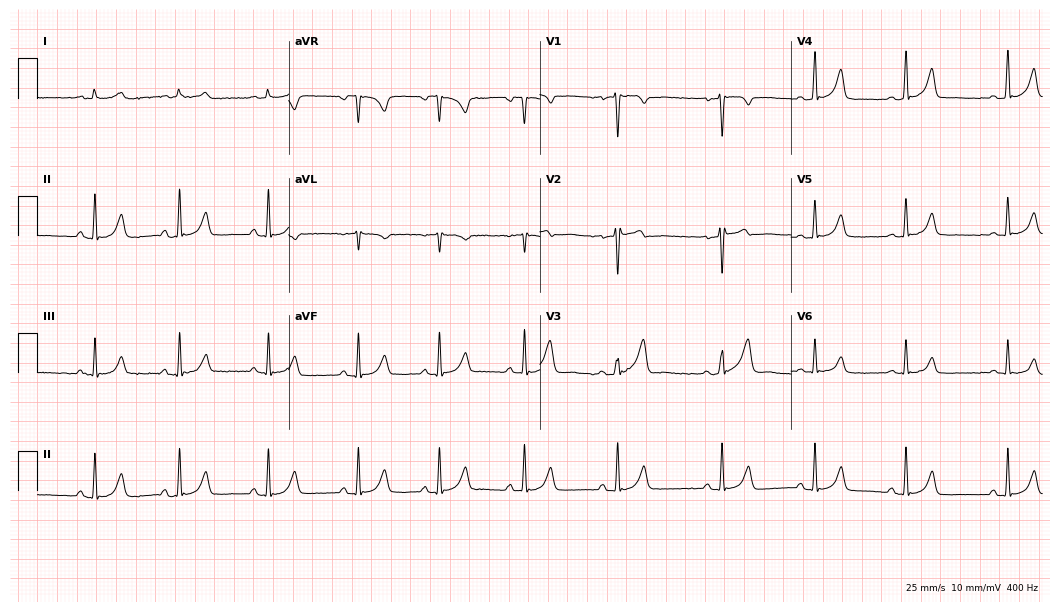
Electrocardiogram, a 30-year-old woman. Overall reading on record: normal ECG.